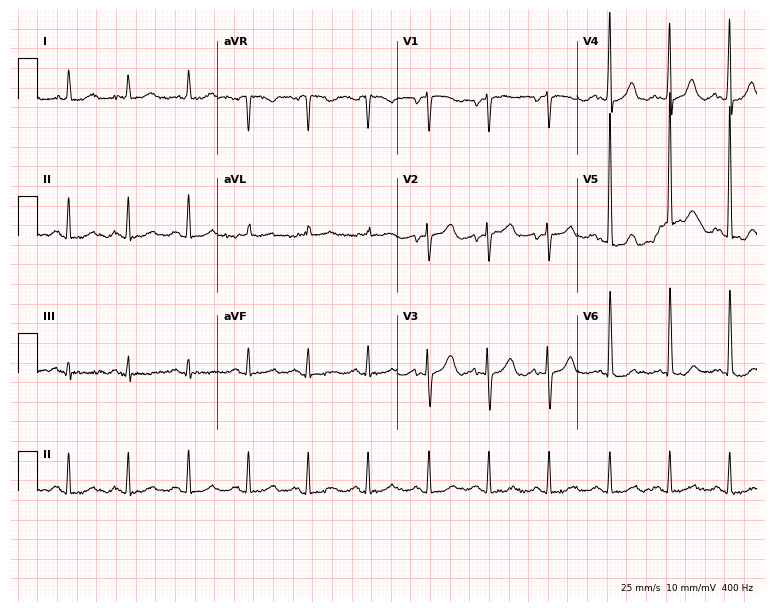
12-lead ECG from a female patient, 82 years old. Screened for six findings — first-degree AV block, right bundle branch block, left bundle branch block, sinus bradycardia, atrial fibrillation, sinus tachycardia — none is recorded. Other findings, if any, are not listed.